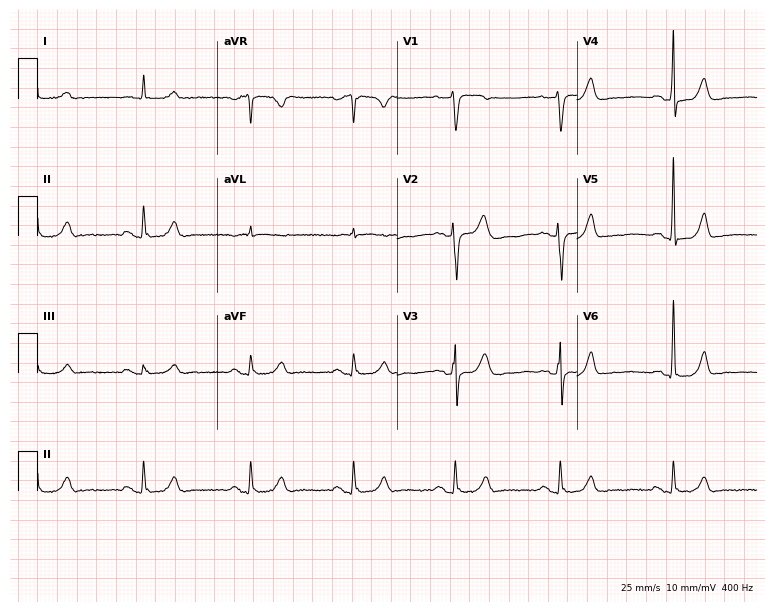
Standard 12-lead ECG recorded from a 51-year-old man. Read as a normal ECG.